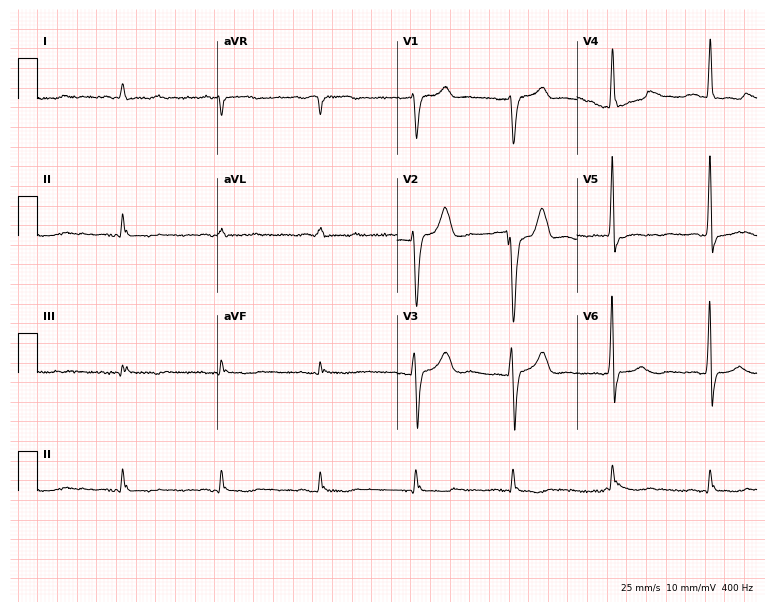
Standard 12-lead ECG recorded from a male, 78 years old (7.3-second recording at 400 Hz). None of these six findings is recorded: first-degree AV block, right bundle branch block, left bundle branch block, sinus bradycardia, atrial fibrillation, sinus tachycardia. Findings outside these six are not listed.